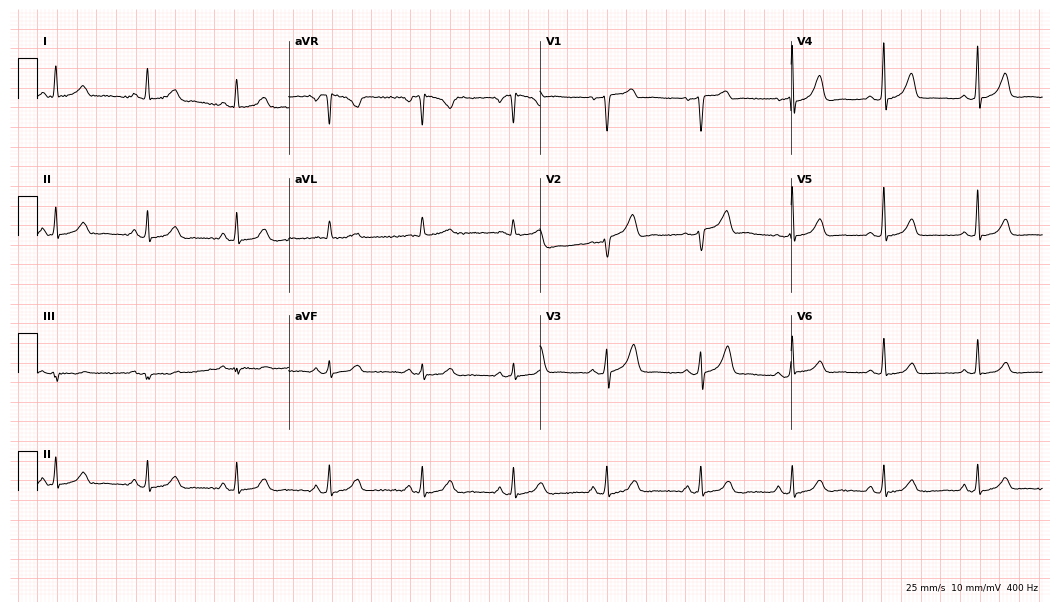
Electrocardiogram (10.2-second recording at 400 Hz), a 62-year-old female. Overall reading on record: normal ECG.